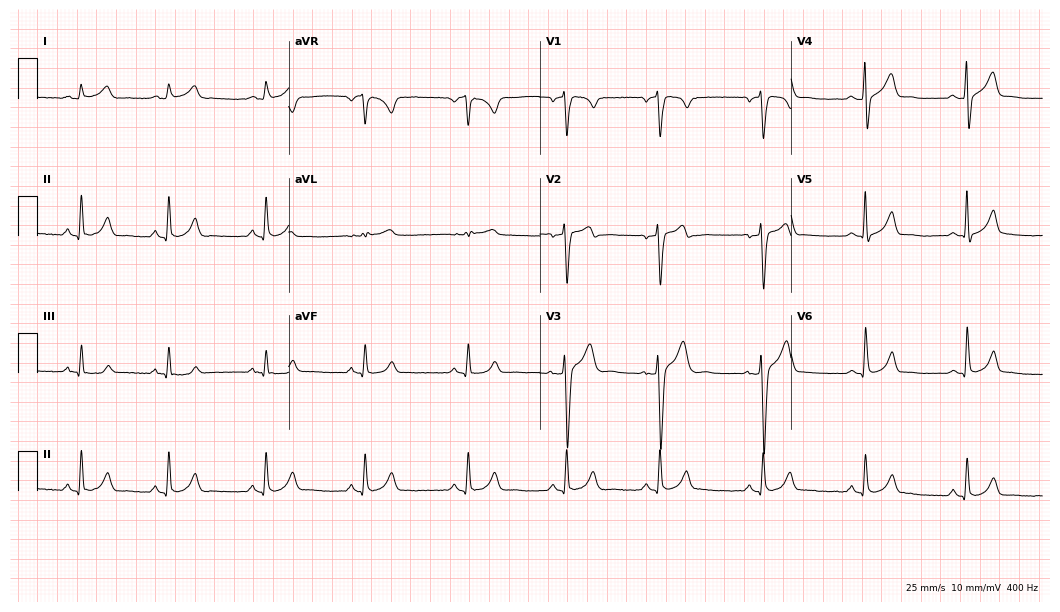
Standard 12-lead ECG recorded from a male, 29 years old (10.2-second recording at 400 Hz). Read as a normal ECG.